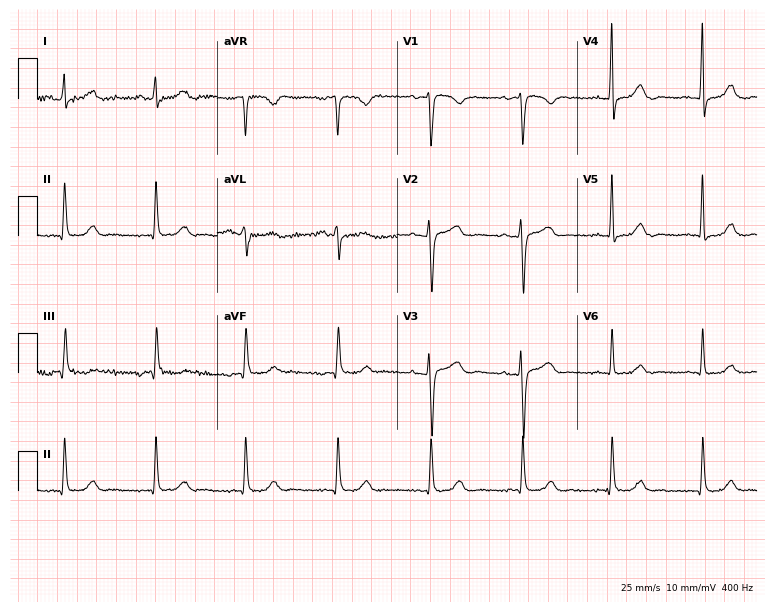
ECG — a 45-year-old female patient. Screened for six findings — first-degree AV block, right bundle branch block (RBBB), left bundle branch block (LBBB), sinus bradycardia, atrial fibrillation (AF), sinus tachycardia — none is recorded.